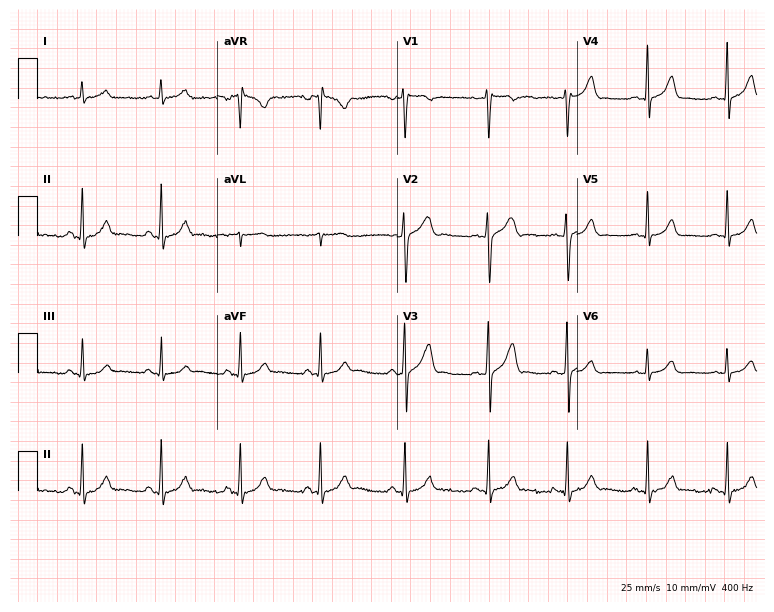
12-lead ECG from a 22-year-old man. Recorded interpretation: within normal limits.